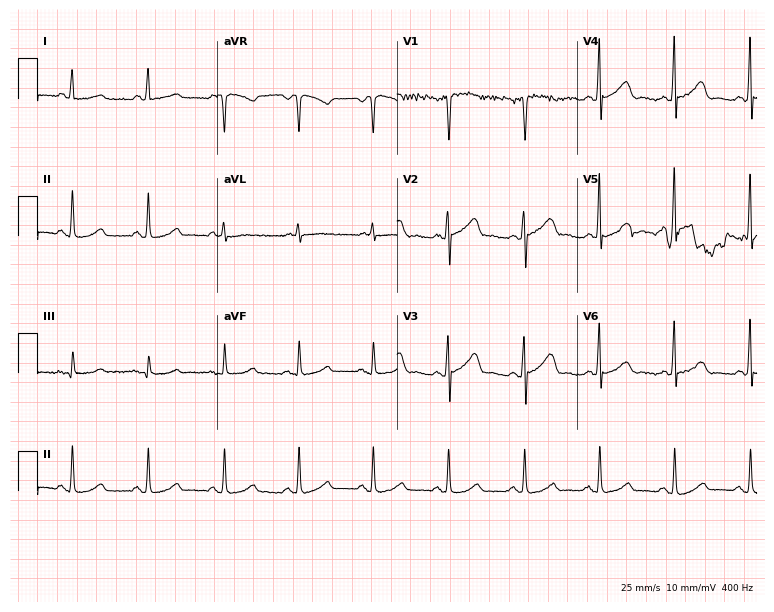
Standard 12-lead ECG recorded from a woman, 47 years old. Read as a normal ECG.